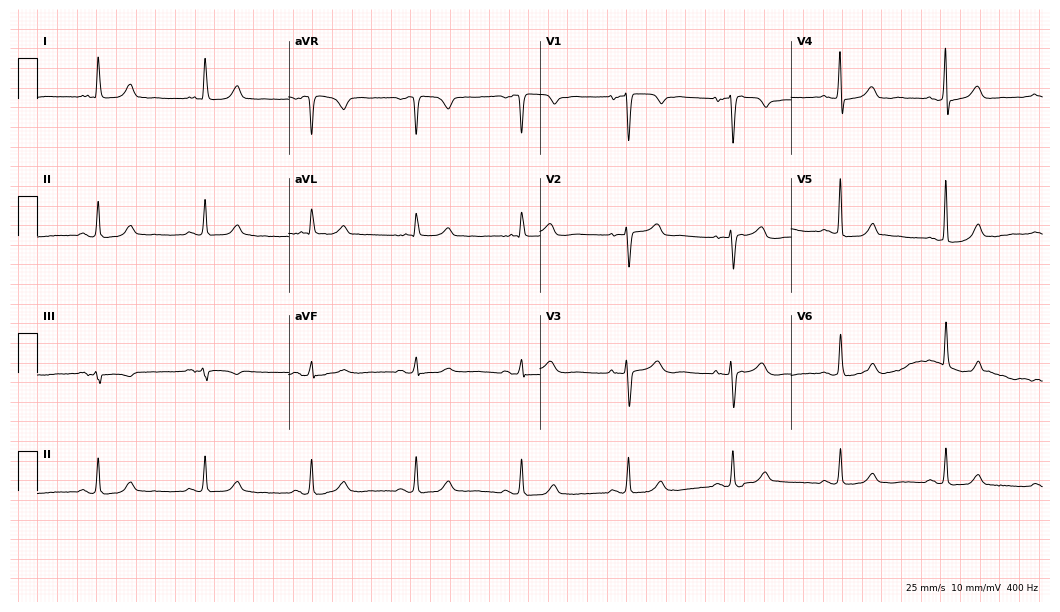
ECG — a woman, 79 years old. Labelled as a normal ECG.